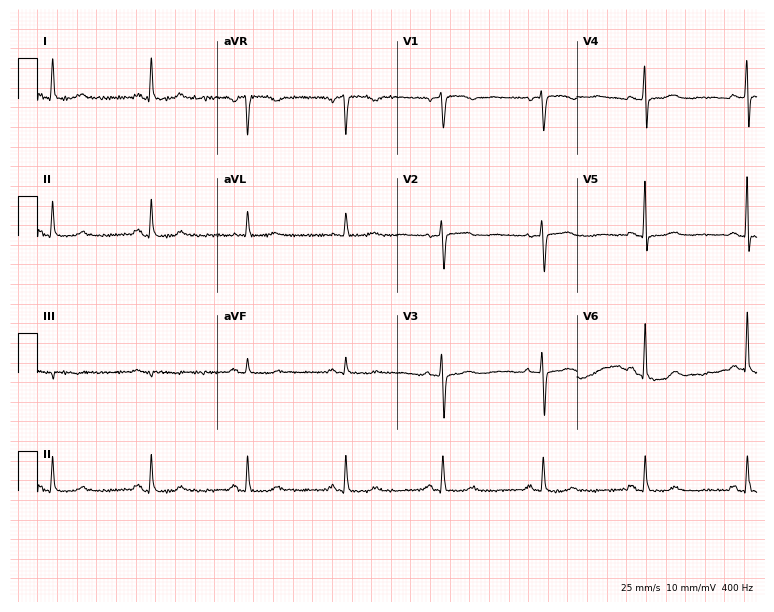
Electrocardiogram (7.3-second recording at 400 Hz), a woman, 71 years old. Overall reading on record: normal ECG.